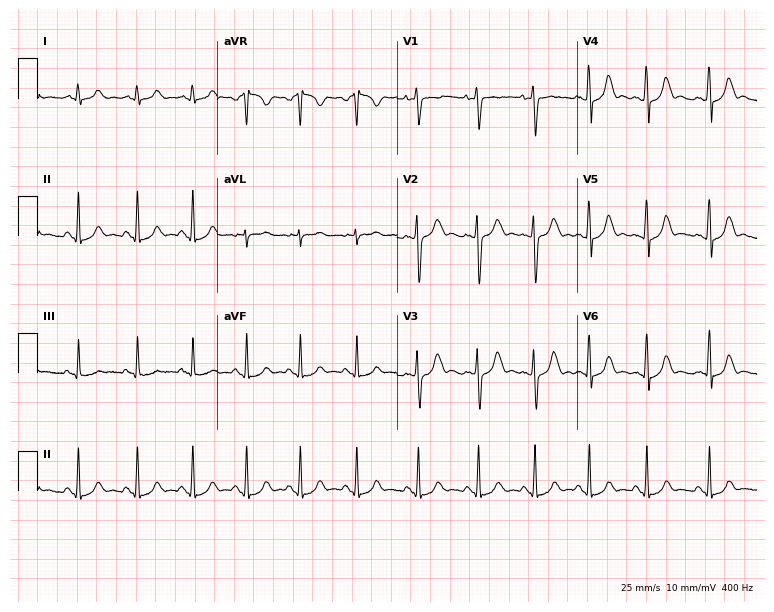
Resting 12-lead electrocardiogram (7.3-second recording at 400 Hz). Patient: a female, 31 years old. The tracing shows sinus tachycardia (a sinus rate of 100 beats per minute or more).